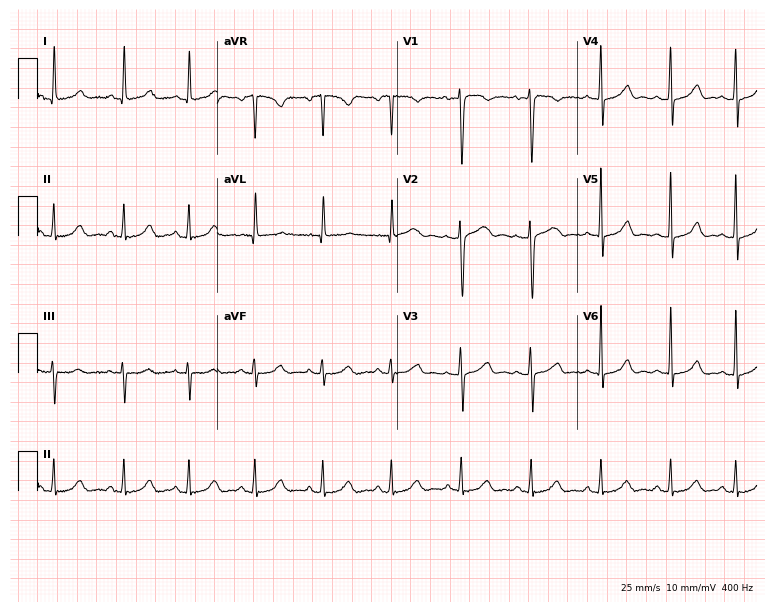
ECG — a female patient, 48 years old. Labelled as a normal ECG.